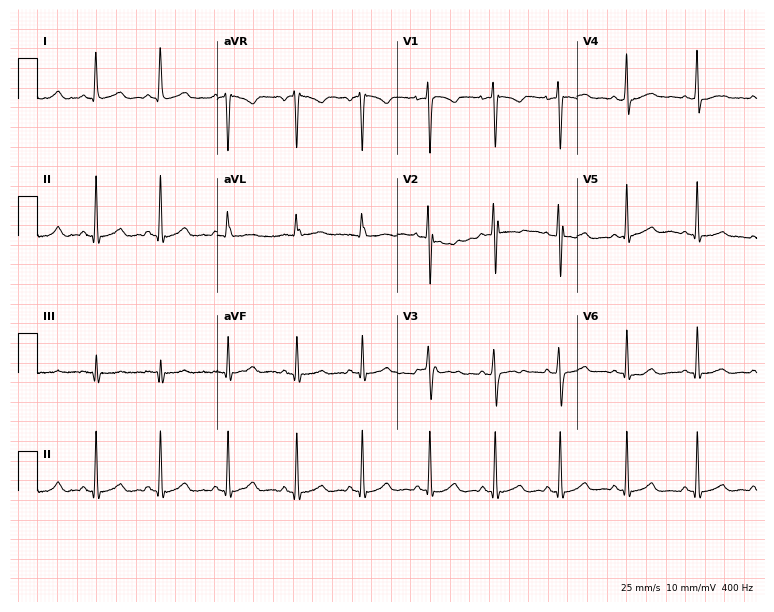
Electrocardiogram, a 25-year-old female patient. Overall reading on record: normal ECG.